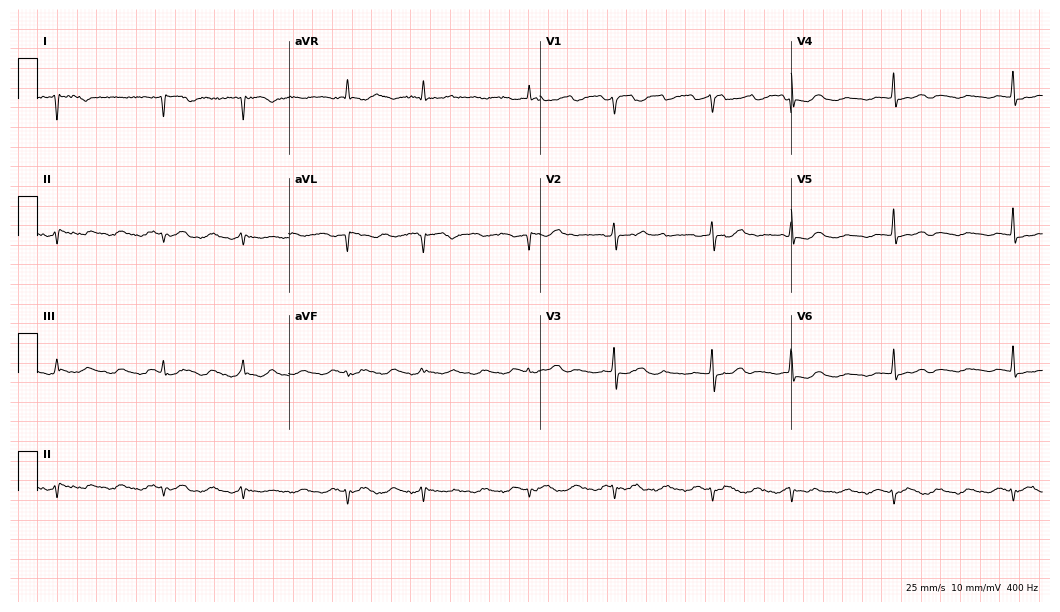
Resting 12-lead electrocardiogram. Patient: a 75-year-old female. None of these six findings is recorded: first-degree AV block, right bundle branch block, left bundle branch block, sinus bradycardia, atrial fibrillation, sinus tachycardia.